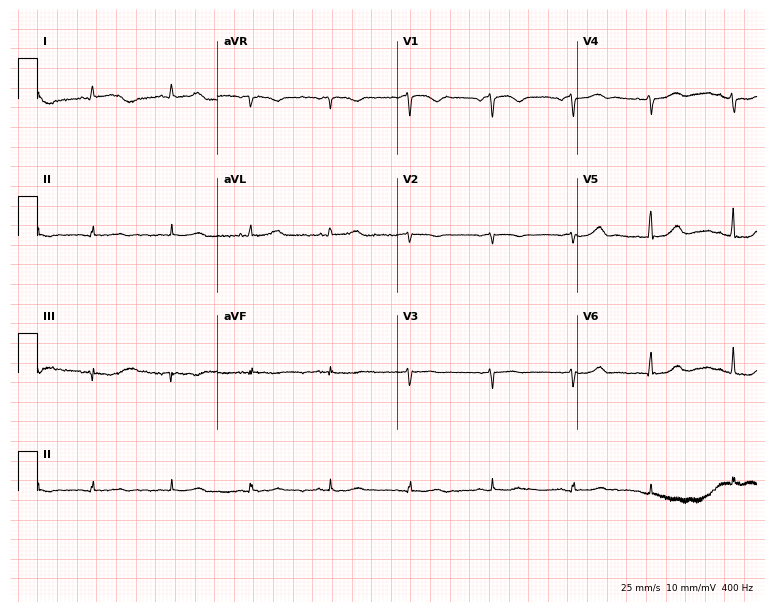
12-lead ECG from a 55-year-old man (7.3-second recording at 400 Hz). No first-degree AV block, right bundle branch block, left bundle branch block, sinus bradycardia, atrial fibrillation or sinus tachycardia recorded for this tracing. Other findings, if any, are not listed.